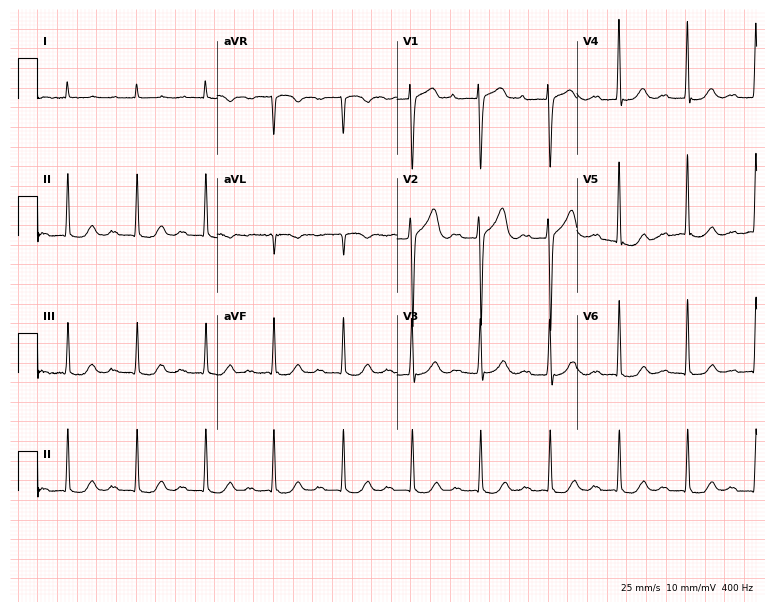
12-lead ECG from a male, 85 years old. Labelled as a normal ECG.